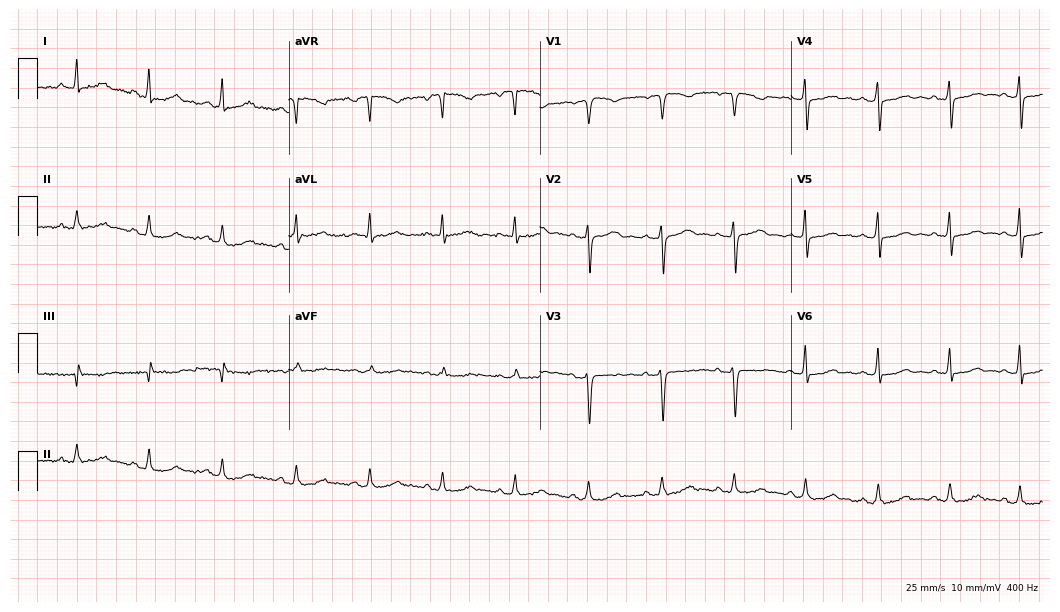
Resting 12-lead electrocardiogram. Patient: a female, 47 years old. None of these six findings is recorded: first-degree AV block, right bundle branch block (RBBB), left bundle branch block (LBBB), sinus bradycardia, atrial fibrillation (AF), sinus tachycardia. Other findings, if any, are not listed.